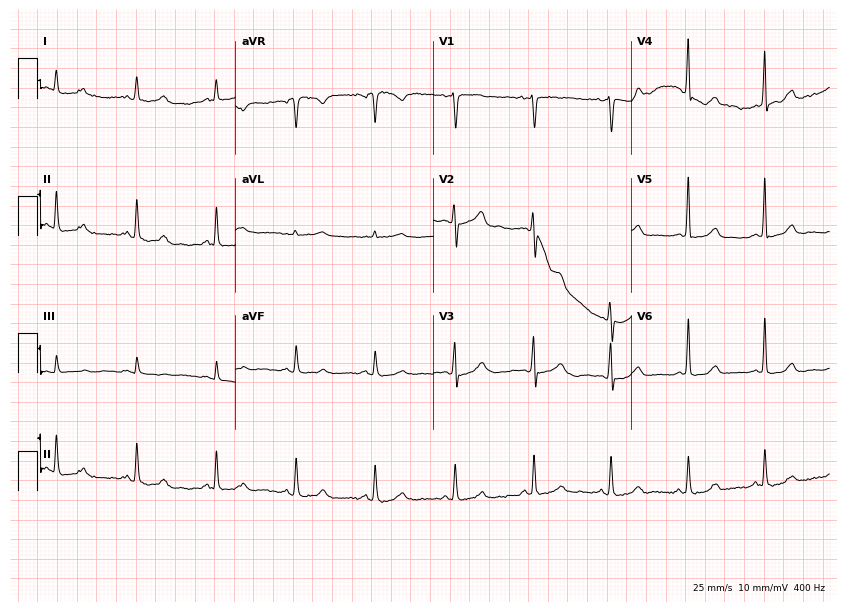
ECG — a female, 63 years old. Labelled as a normal ECG.